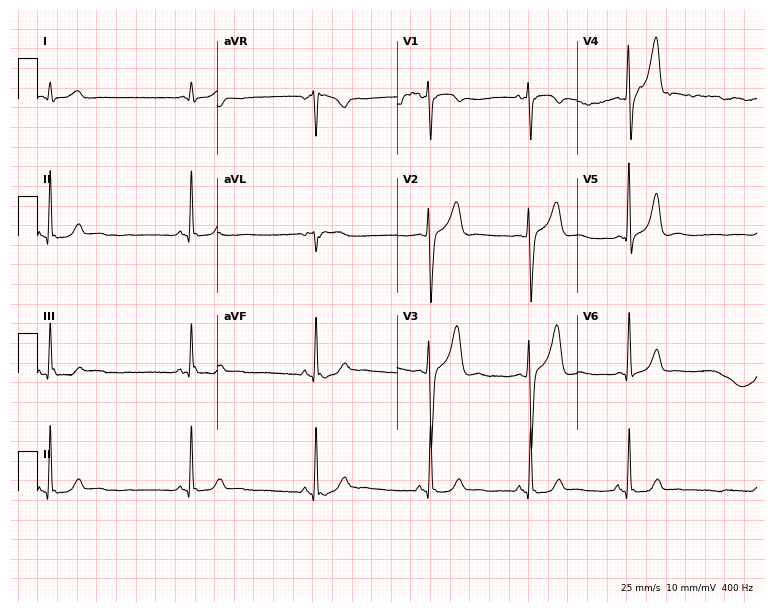
Standard 12-lead ECG recorded from a woman, 74 years old (7.3-second recording at 400 Hz). Read as a normal ECG.